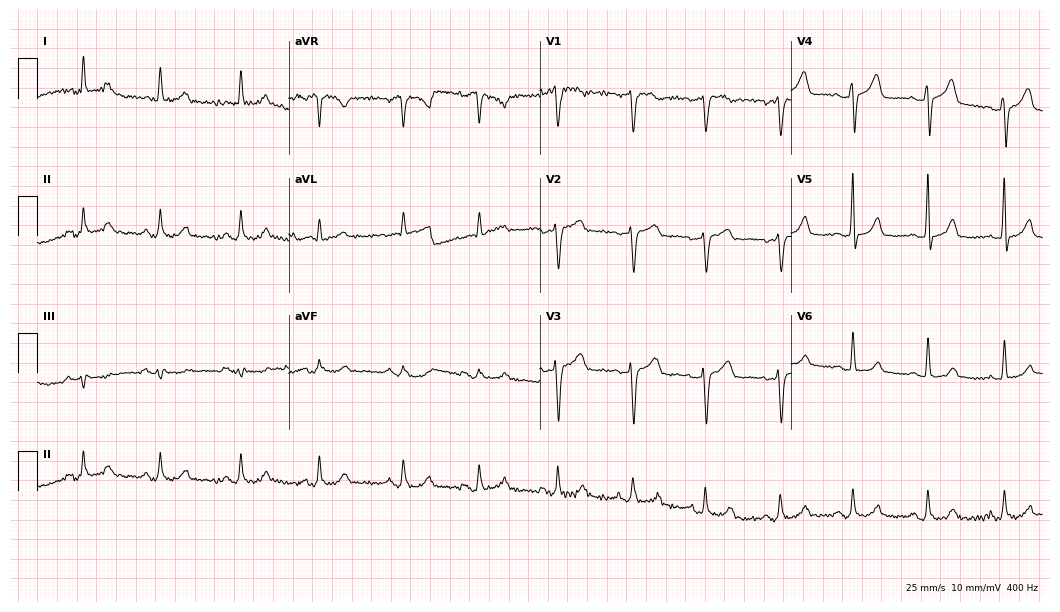
ECG — a 58-year-old woman. Screened for six findings — first-degree AV block, right bundle branch block, left bundle branch block, sinus bradycardia, atrial fibrillation, sinus tachycardia — none is recorded. Findings outside these six are not listed.